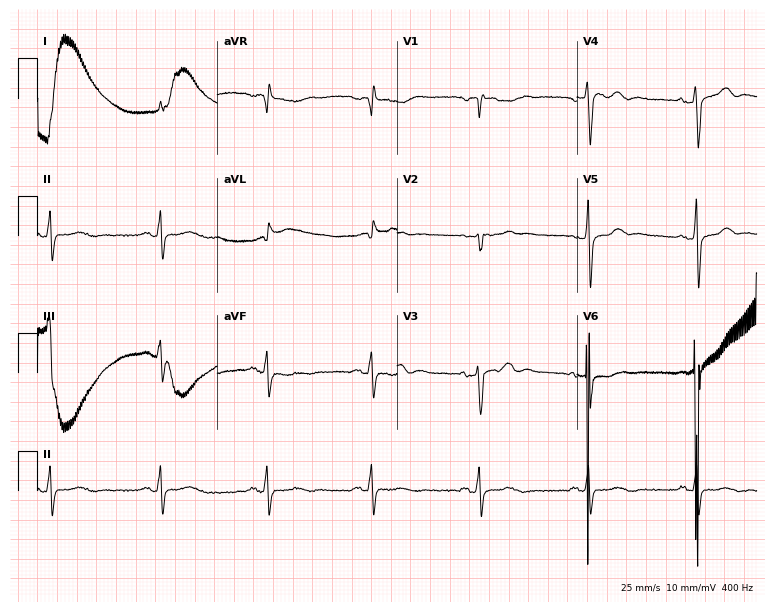
Resting 12-lead electrocardiogram. Patient: a female, 56 years old. None of these six findings is recorded: first-degree AV block, right bundle branch block, left bundle branch block, sinus bradycardia, atrial fibrillation, sinus tachycardia.